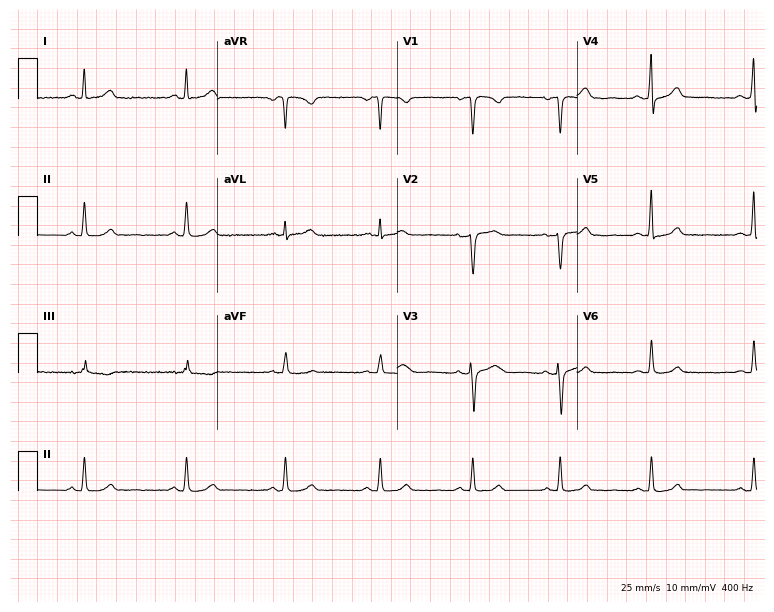
Electrocardiogram, a 46-year-old woman. Overall reading on record: normal ECG.